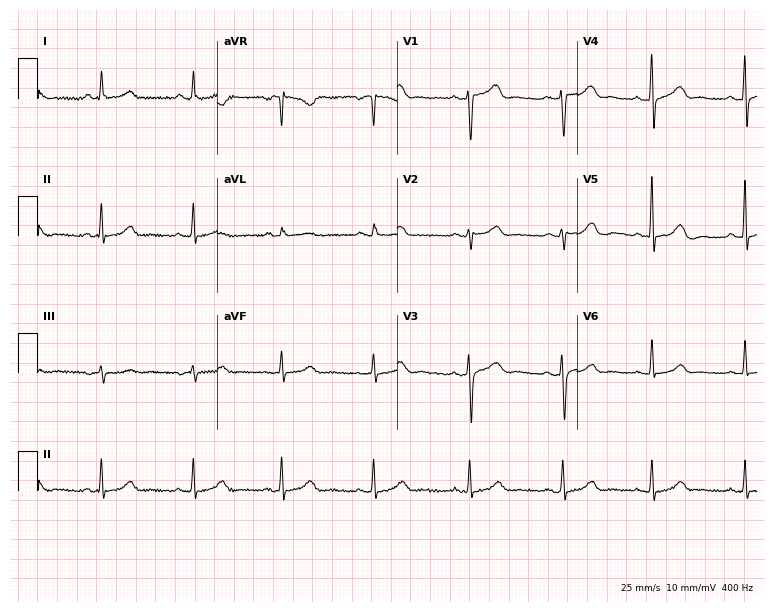
12-lead ECG (7.3-second recording at 400 Hz) from a female patient, 54 years old. Labelled as a normal ECG.